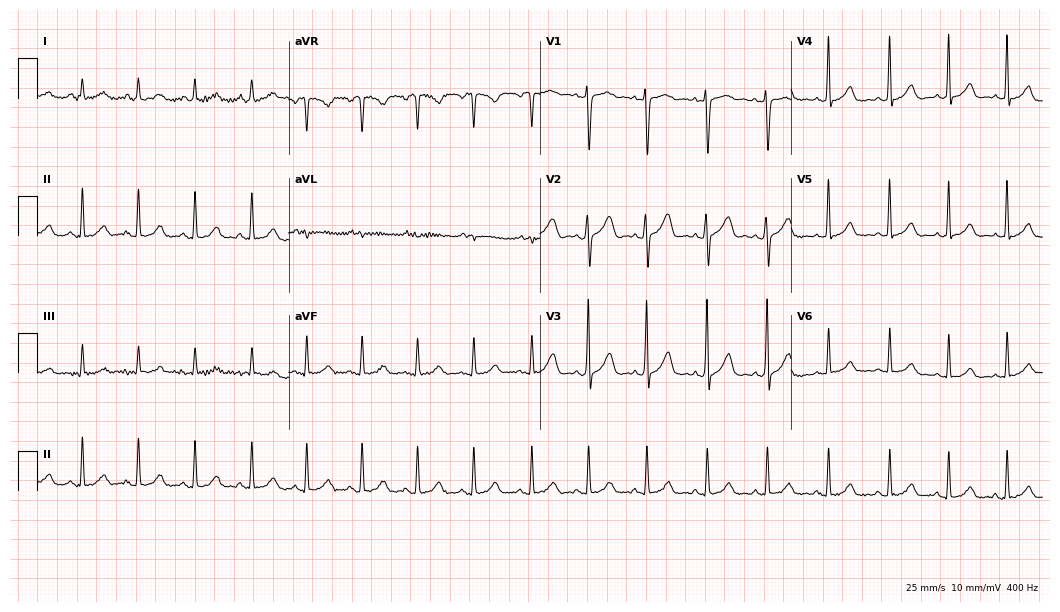
Electrocardiogram (10.2-second recording at 400 Hz), a 30-year-old female patient. Interpretation includes sinus tachycardia (a sinus rate of 100 beats per minute or more).